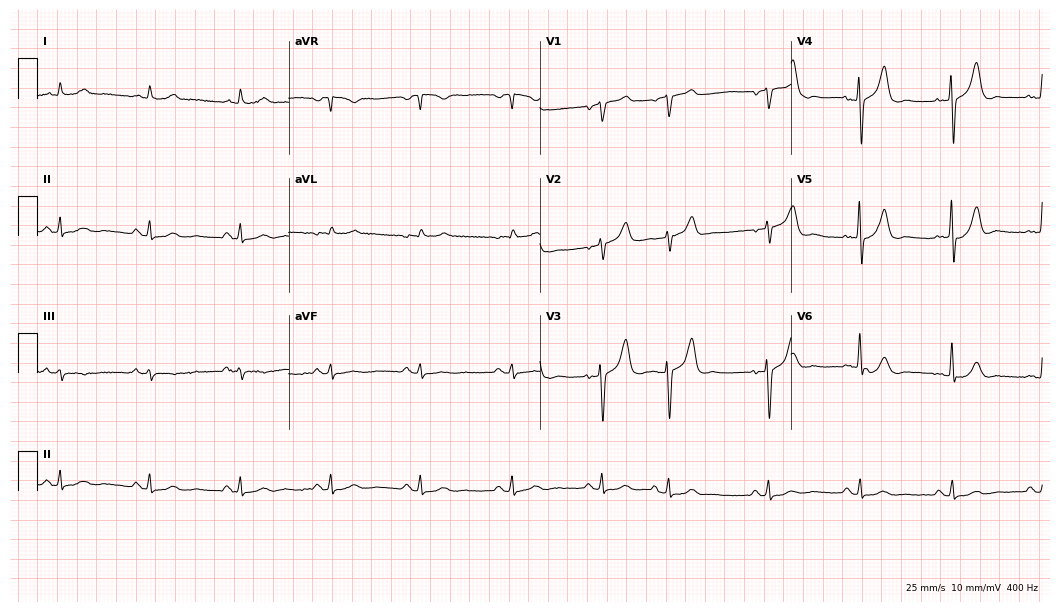
12-lead ECG from a 79-year-old man. Recorded interpretation: within normal limits.